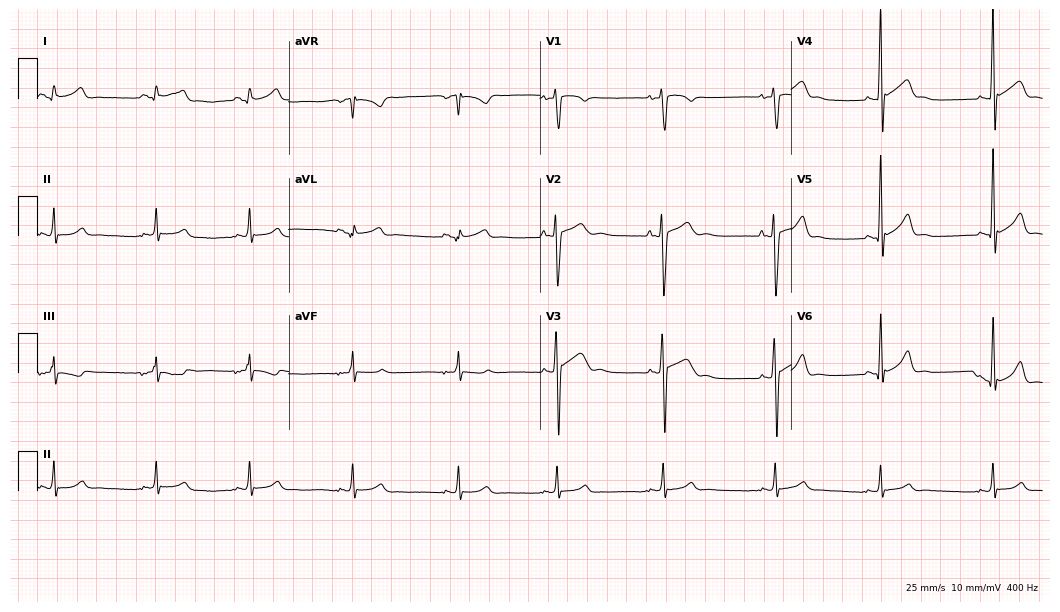
Resting 12-lead electrocardiogram (10.2-second recording at 400 Hz). Patient: a man, 17 years old. Read as a normal ECG.